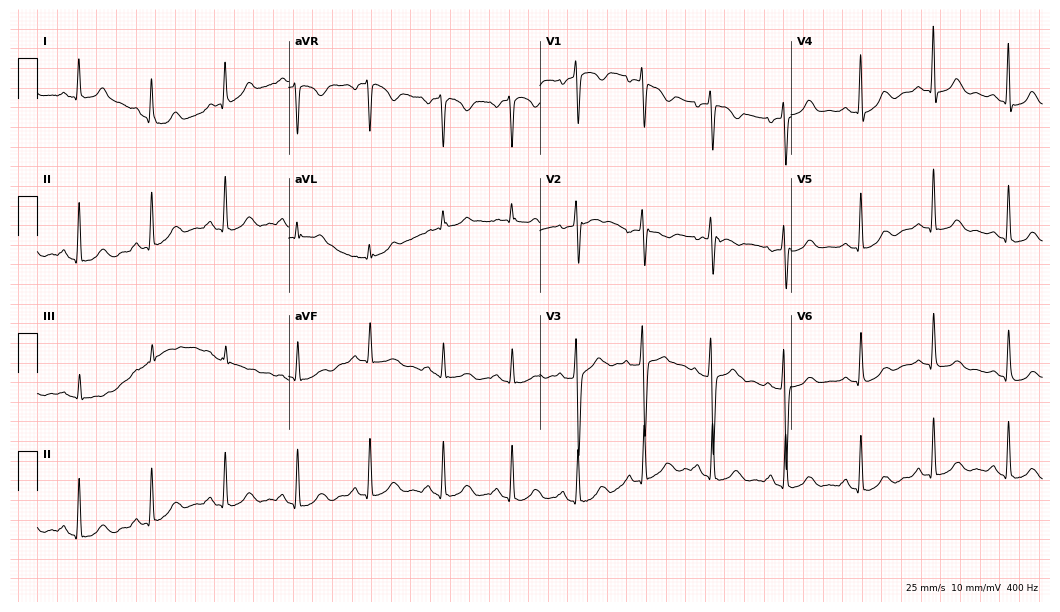
ECG — a woman, 50 years old. Labelled as a normal ECG.